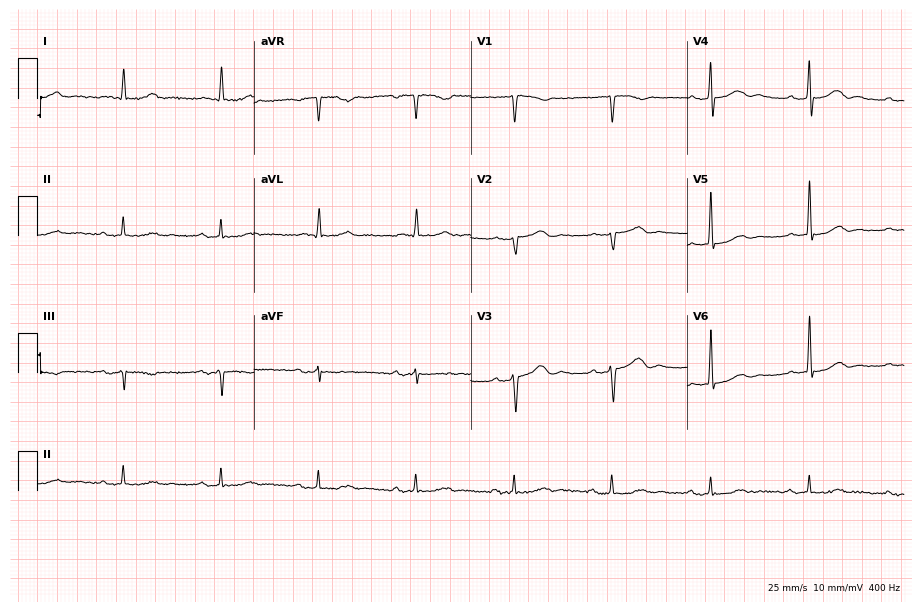
12-lead ECG (8.8-second recording at 400 Hz) from a male, 75 years old. Screened for six findings — first-degree AV block, right bundle branch block, left bundle branch block, sinus bradycardia, atrial fibrillation, sinus tachycardia — none is recorded. Other findings, if any, are not listed.